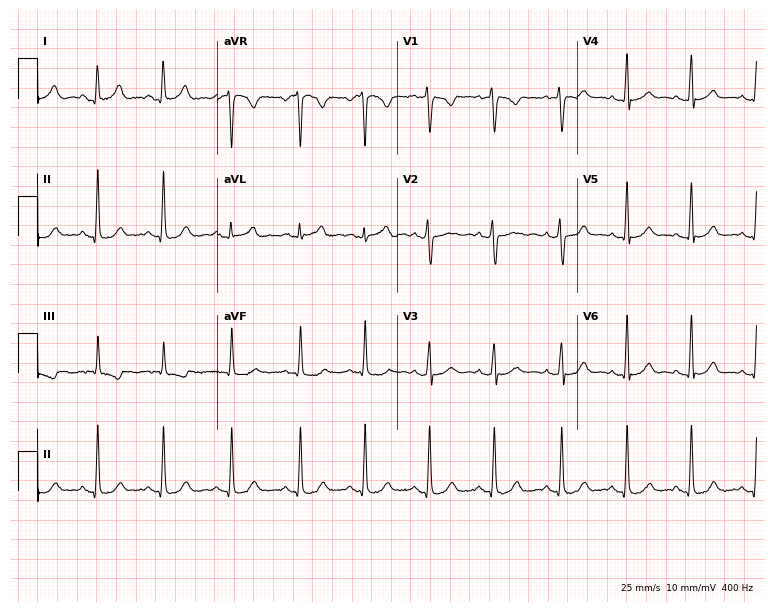
Standard 12-lead ECG recorded from a 22-year-old woman. None of these six findings is recorded: first-degree AV block, right bundle branch block, left bundle branch block, sinus bradycardia, atrial fibrillation, sinus tachycardia.